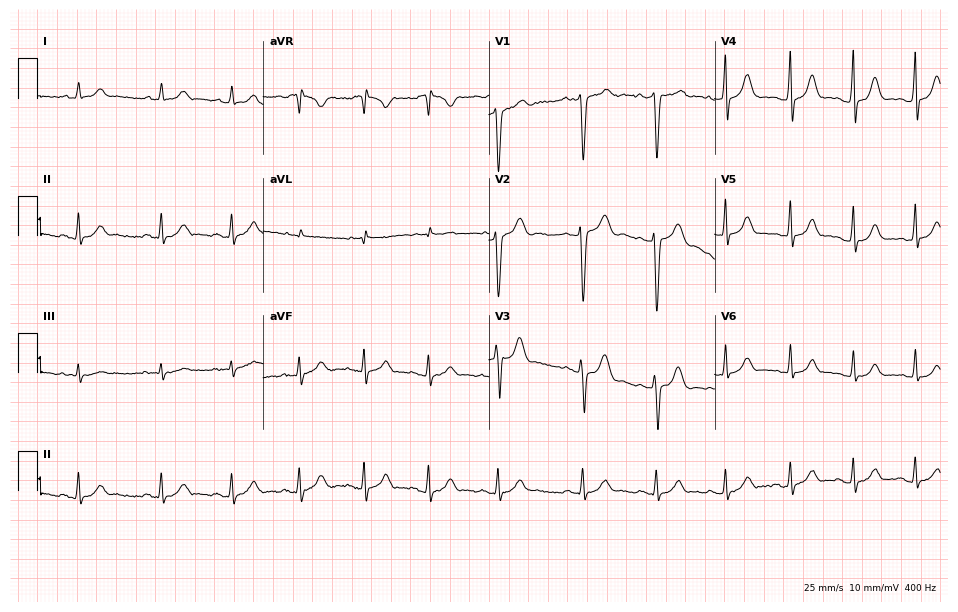
Standard 12-lead ECG recorded from a 27-year-old female. Read as a normal ECG.